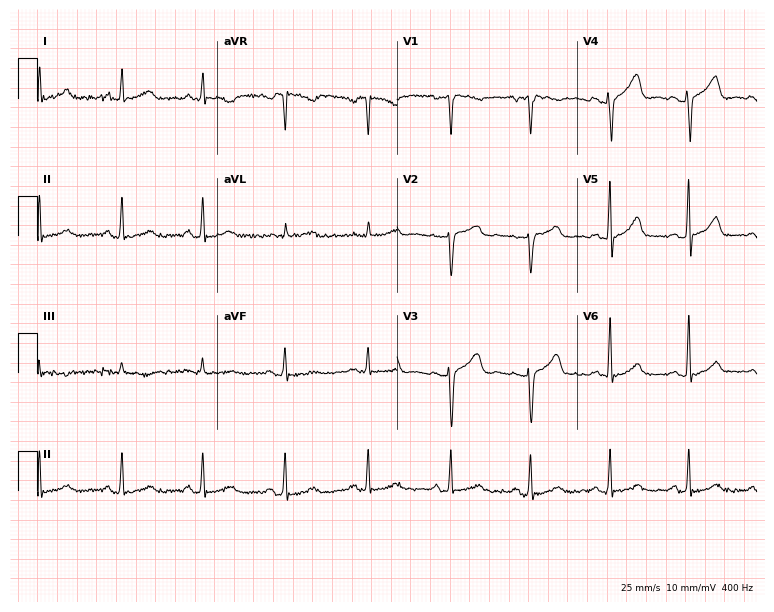
Standard 12-lead ECG recorded from a female, 49 years old. Read as a normal ECG.